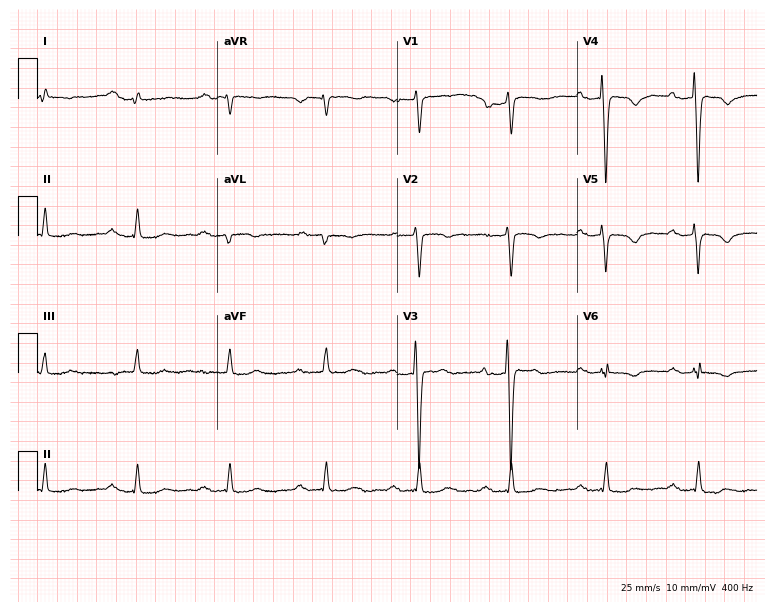
Electrocardiogram (7.3-second recording at 400 Hz), a male patient, 62 years old. Interpretation includes first-degree AV block.